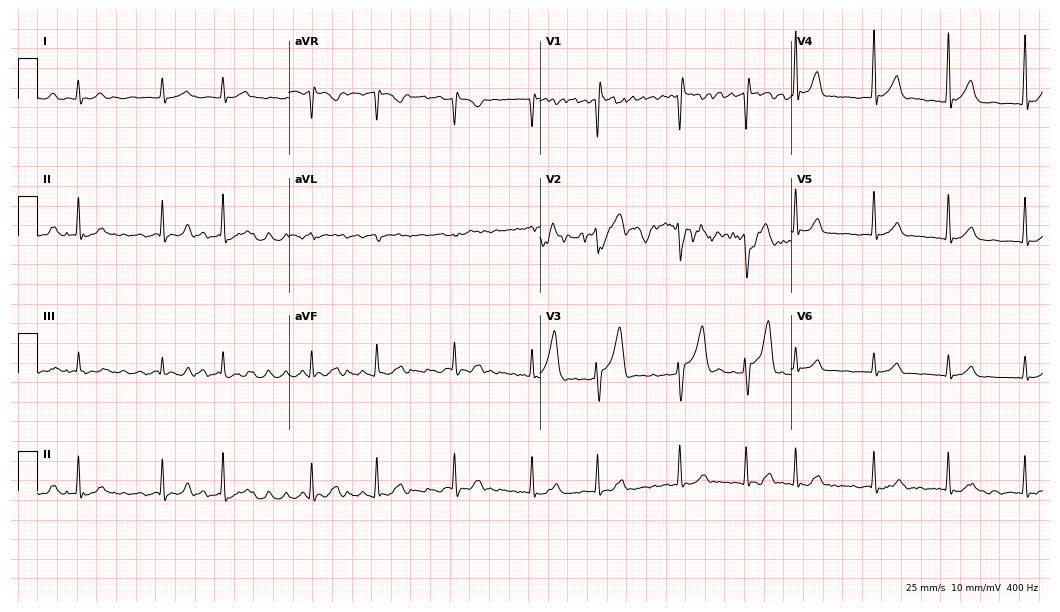
12-lead ECG from a 78-year-old male patient (10.2-second recording at 400 Hz). Shows atrial fibrillation (AF).